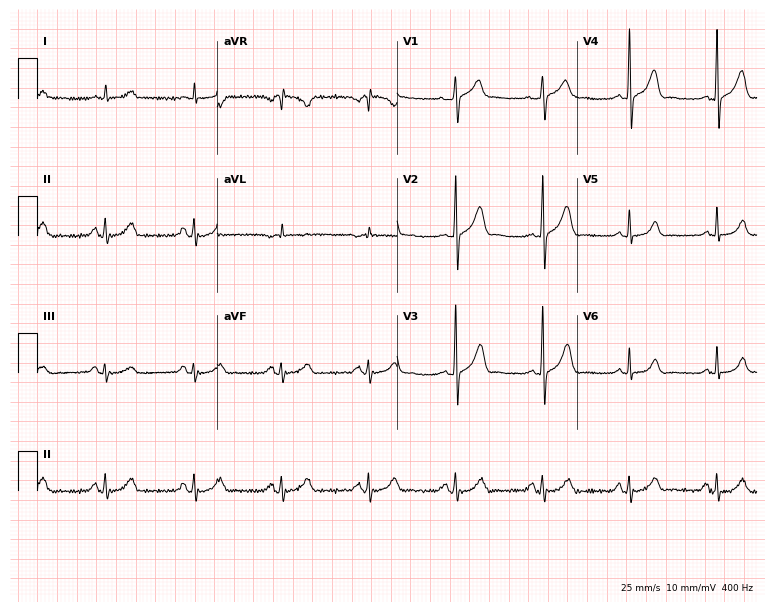
12-lead ECG from a male, 69 years old (7.3-second recording at 400 Hz). Recorded interpretation: within normal limits.